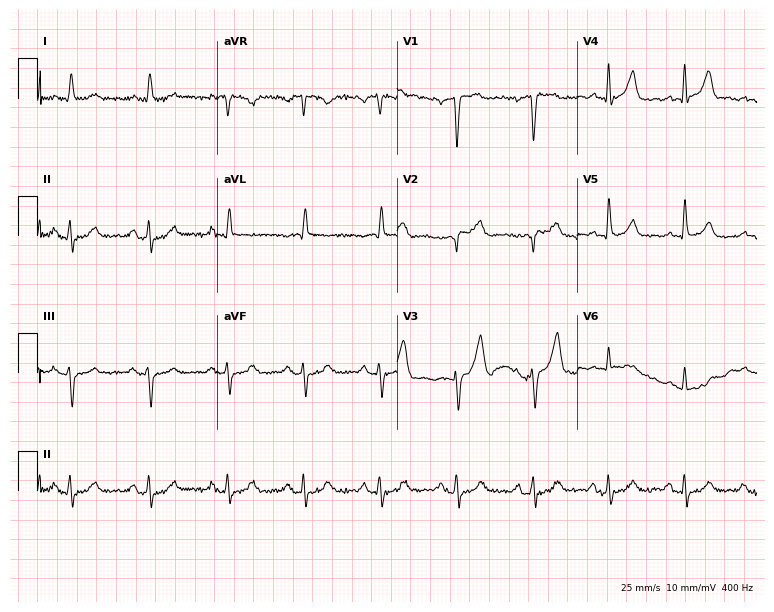
Standard 12-lead ECG recorded from a 72-year-old male patient. Read as a normal ECG.